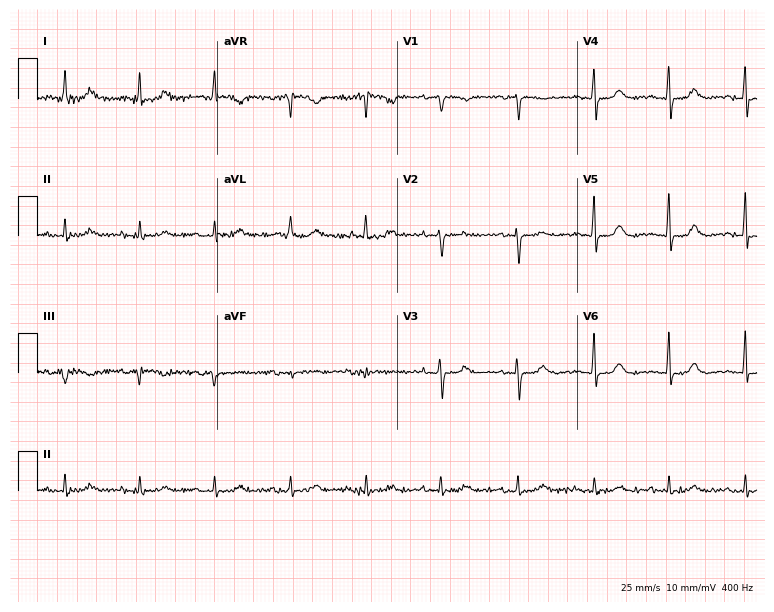
Standard 12-lead ECG recorded from a woman, 72 years old. Read as a normal ECG.